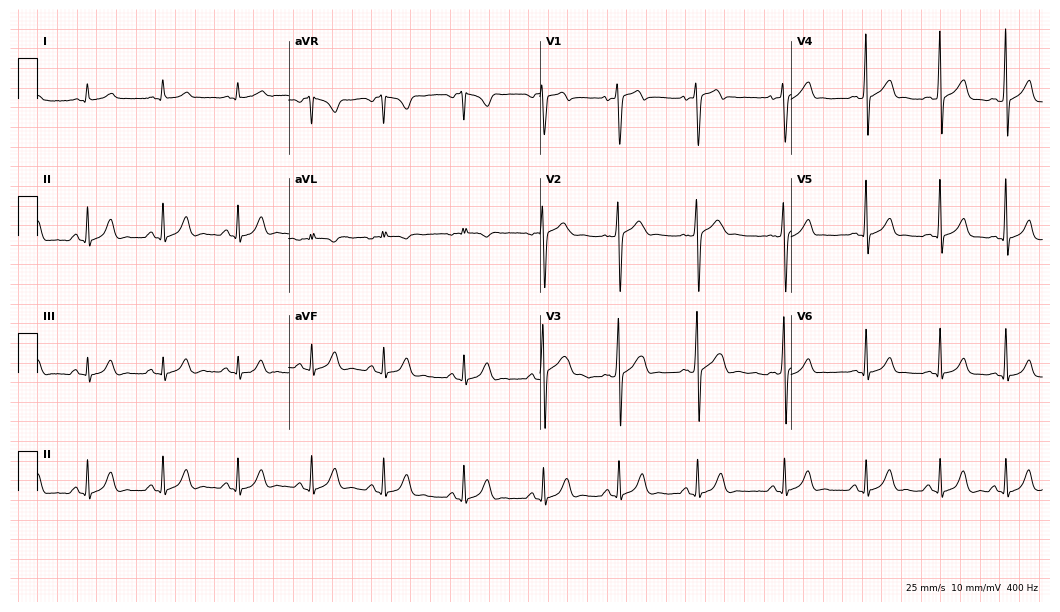
ECG (10.2-second recording at 400 Hz) — a male, 18 years old. Screened for six findings — first-degree AV block, right bundle branch block, left bundle branch block, sinus bradycardia, atrial fibrillation, sinus tachycardia — none is recorded. Other findings, if any, are not listed.